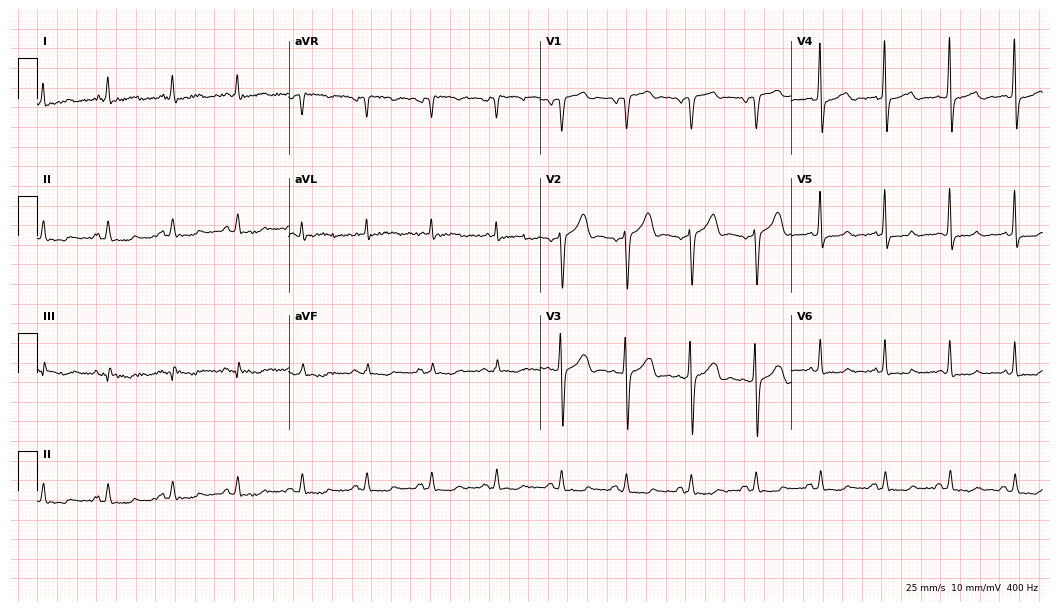
Resting 12-lead electrocardiogram. Patient: a male, 79 years old. None of these six findings is recorded: first-degree AV block, right bundle branch block, left bundle branch block, sinus bradycardia, atrial fibrillation, sinus tachycardia. Other findings, if any, are not listed.